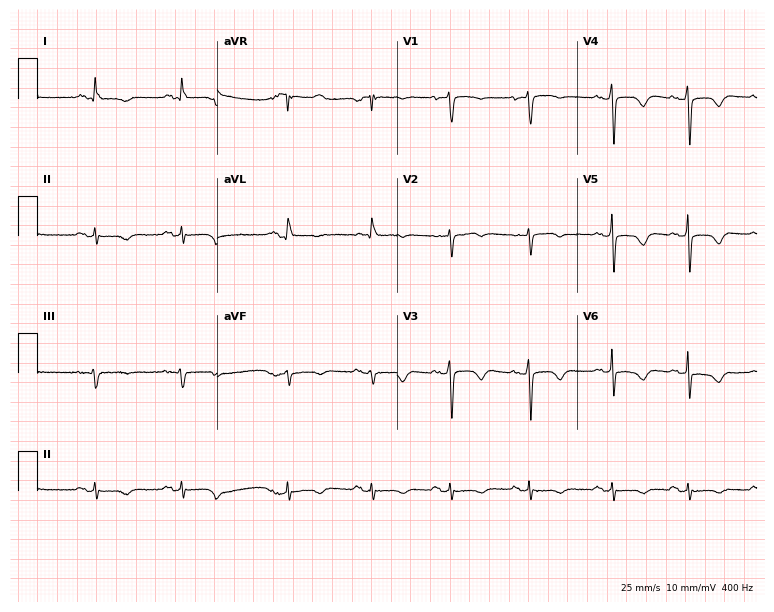
12-lead ECG from an 86-year-old female patient (7.3-second recording at 400 Hz). No first-degree AV block, right bundle branch block, left bundle branch block, sinus bradycardia, atrial fibrillation or sinus tachycardia recorded for this tracing. Findings outside these six are not listed.